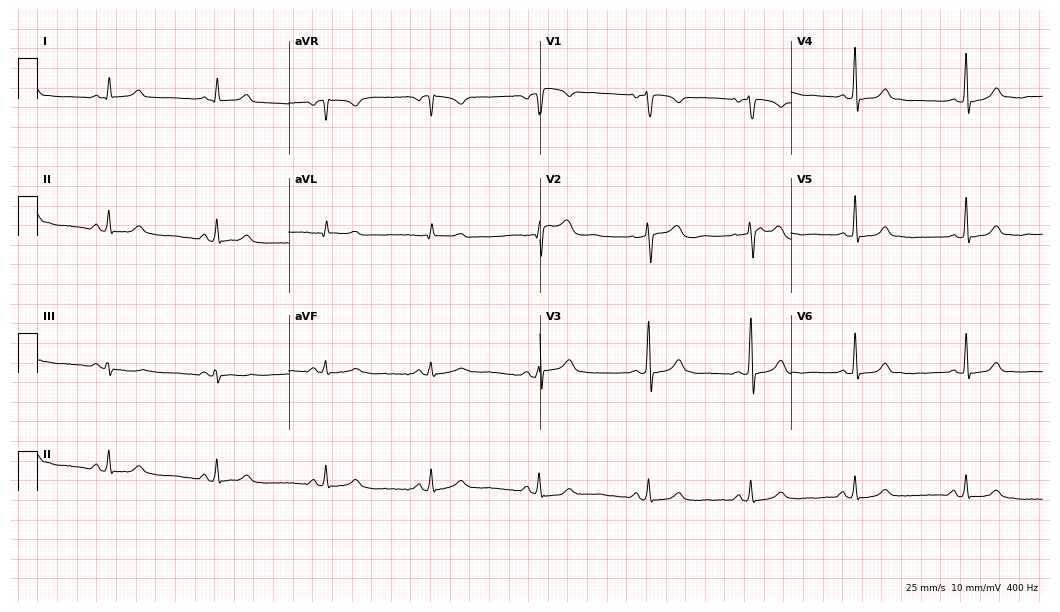
12-lead ECG from a 43-year-old female (10.2-second recording at 400 Hz). Recorded interpretation: within normal limits.